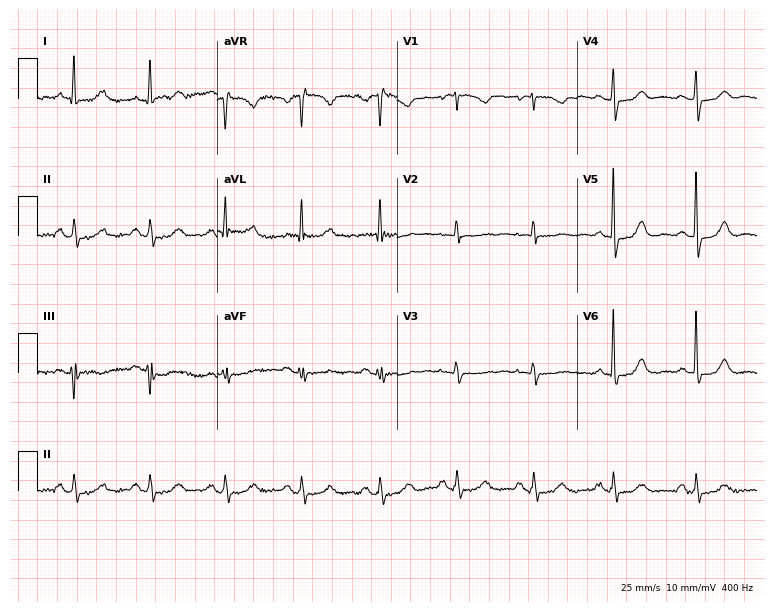
ECG — a 58-year-old female patient. Labelled as a normal ECG.